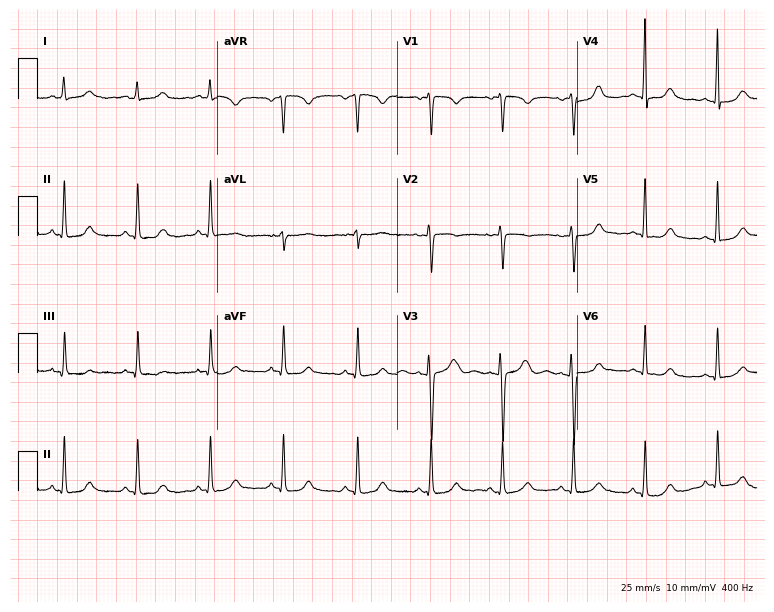
ECG (7.3-second recording at 400 Hz) — a 26-year-old female. Labelled as a normal ECG.